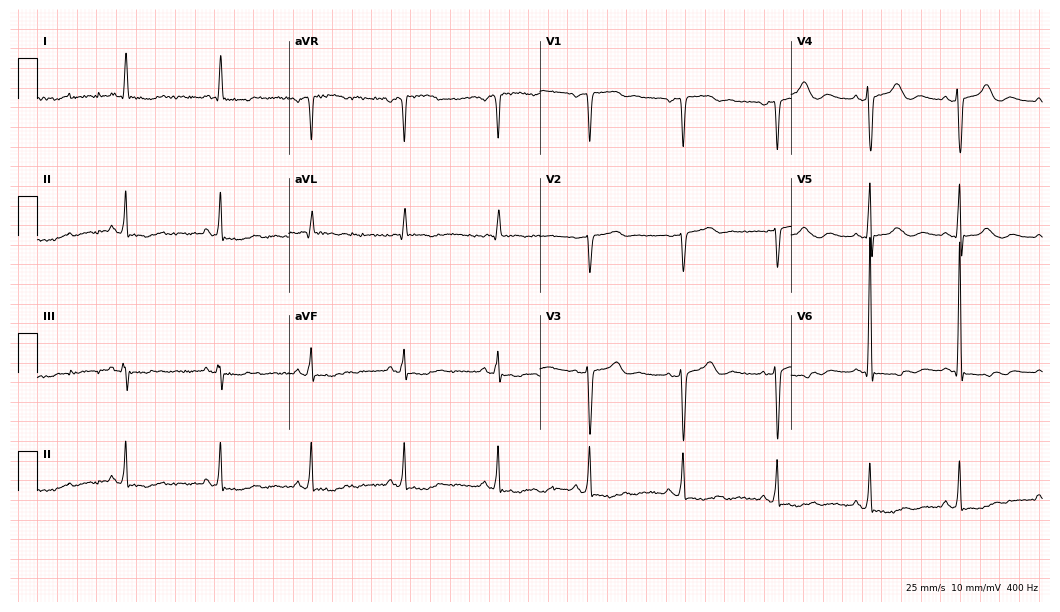
12-lead ECG from a 76-year-old female. No first-degree AV block, right bundle branch block, left bundle branch block, sinus bradycardia, atrial fibrillation or sinus tachycardia recorded for this tracing. Other findings, if any, are not listed.